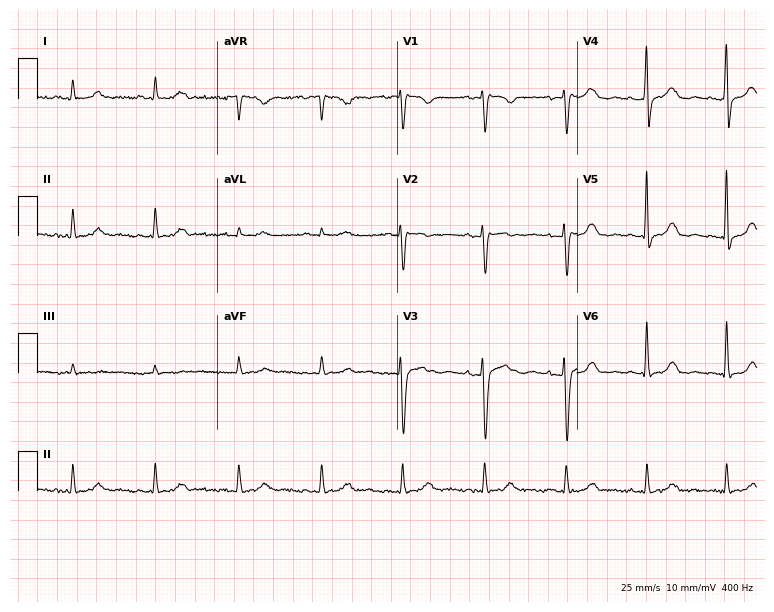
ECG — a woman, 44 years old. Labelled as a normal ECG.